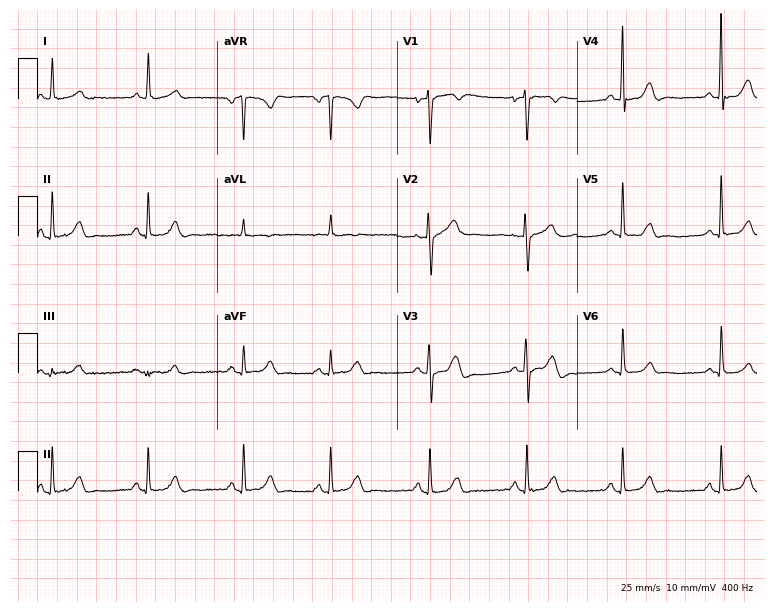
ECG — a male patient, 75 years old. Labelled as a normal ECG.